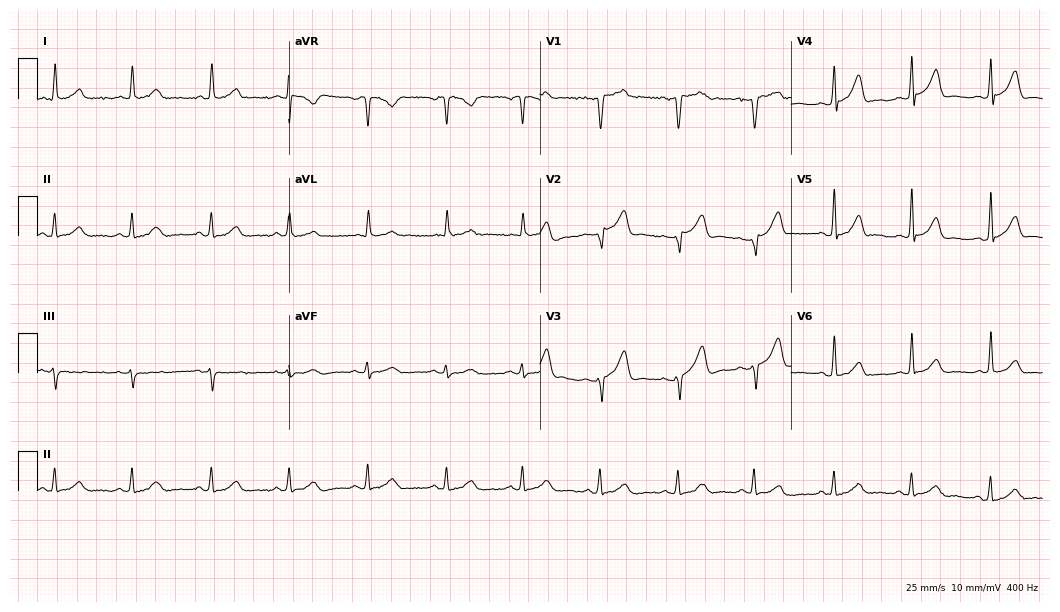
Resting 12-lead electrocardiogram. Patient: a 40-year-old female. None of these six findings is recorded: first-degree AV block, right bundle branch block, left bundle branch block, sinus bradycardia, atrial fibrillation, sinus tachycardia. Findings outside these six are not listed.